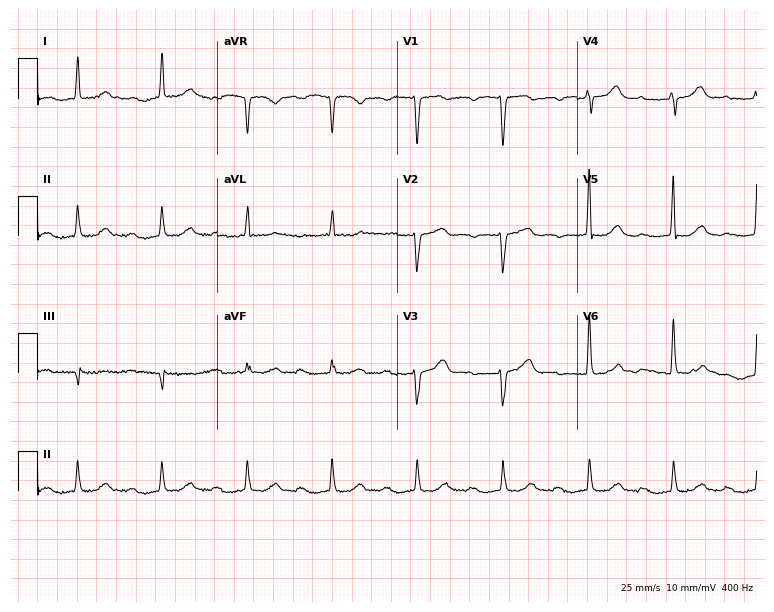
12-lead ECG from a female patient, 74 years old. No first-degree AV block, right bundle branch block, left bundle branch block, sinus bradycardia, atrial fibrillation or sinus tachycardia recorded for this tracing.